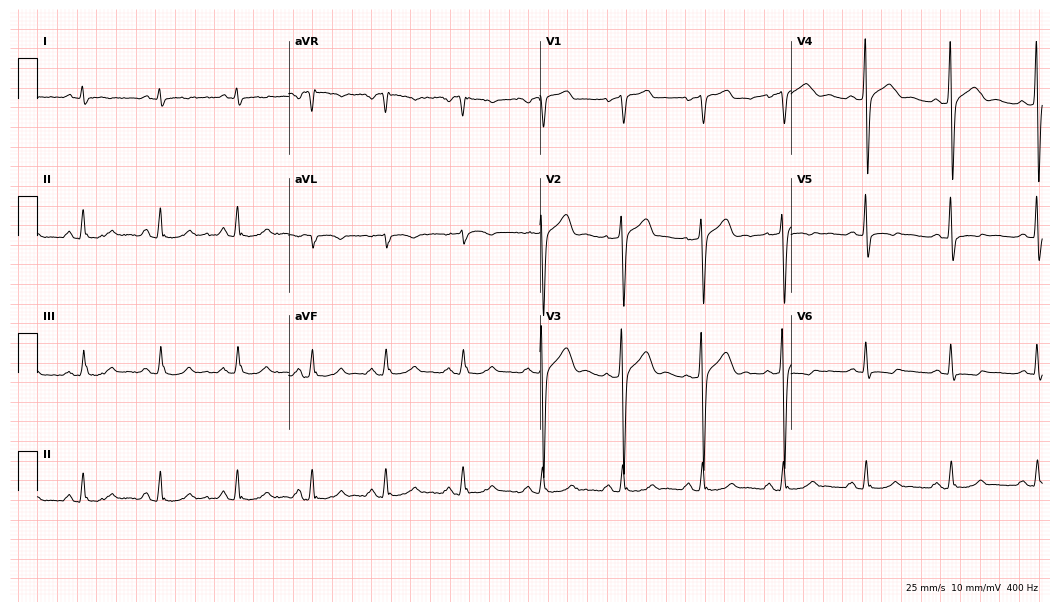
12-lead ECG from a 55-year-old man (10.2-second recording at 400 Hz). No first-degree AV block, right bundle branch block, left bundle branch block, sinus bradycardia, atrial fibrillation or sinus tachycardia recorded for this tracing.